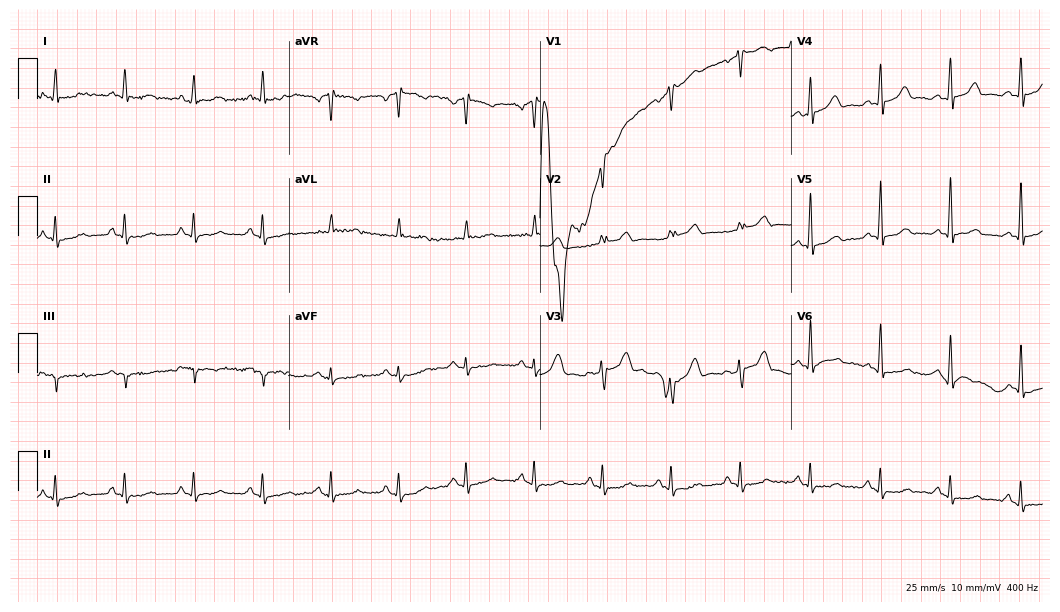
Electrocardiogram (10.2-second recording at 400 Hz), a man, 70 years old. Of the six screened findings (first-degree AV block, right bundle branch block (RBBB), left bundle branch block (LBBB), sinus bradycardia, atrial fibrillation (AF), sinus tachycardia), none is recorded. Only these six findings were labelled.